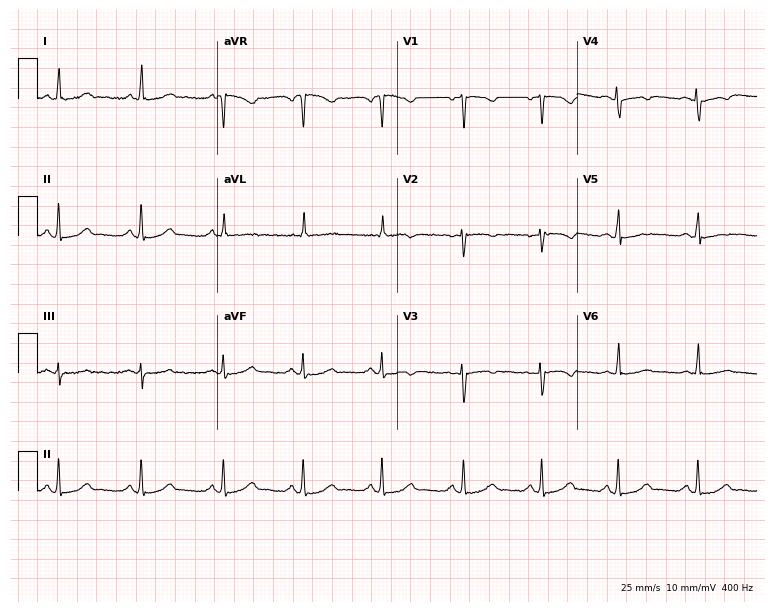
Standard 12-lead ECG recorded from a woman, 43 years old. Read as a normal ECG.